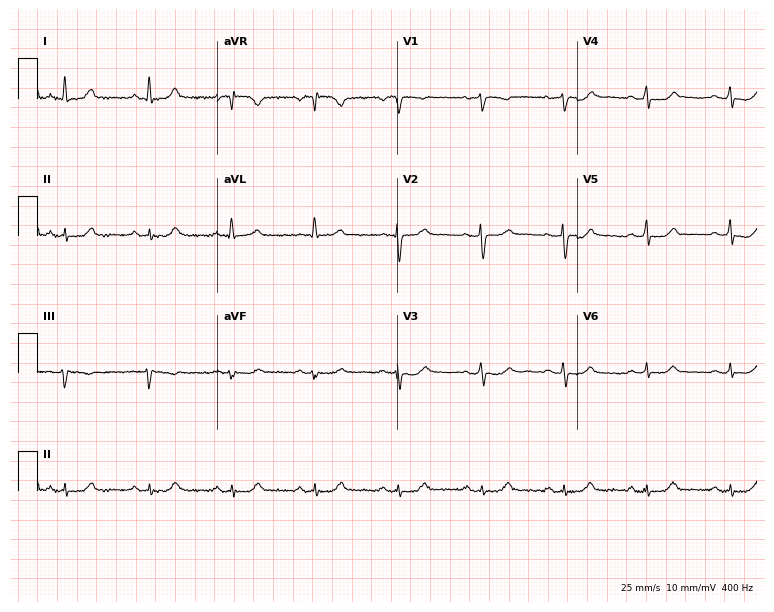
Electrocardiogram (7.3-second recording at 400 Hz), a woman, 50 years old. Of the six screened findings (first-degree AV block, right bundle branch block, left bundle branch block, sinus bradycardia, atrial fibrillation, sinus tachycardia), none is recorded.